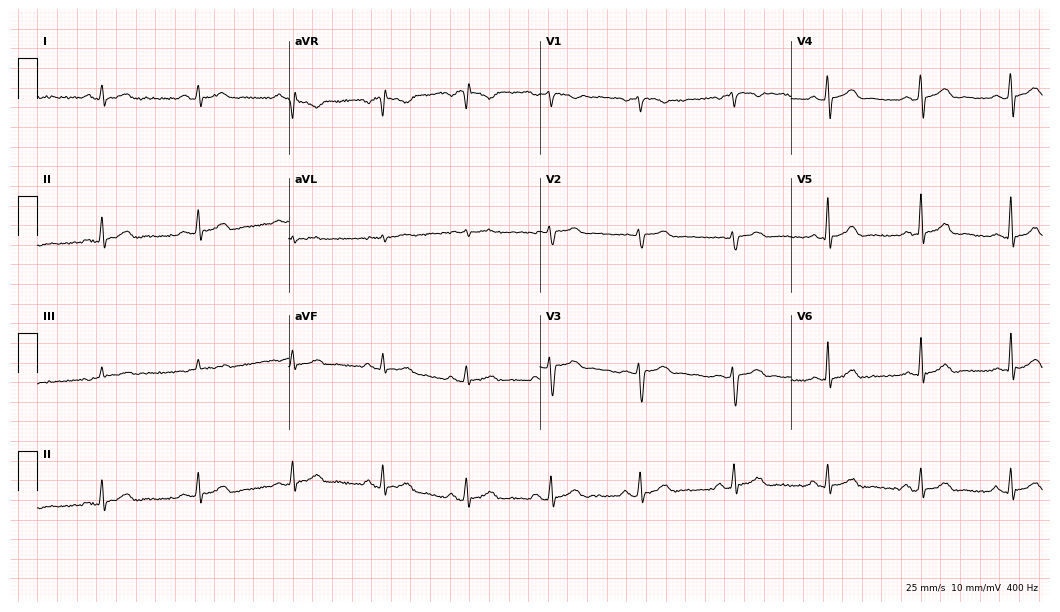
12-lead ECG from a female, 34 years old. Recorded interpretation: within normal limits.